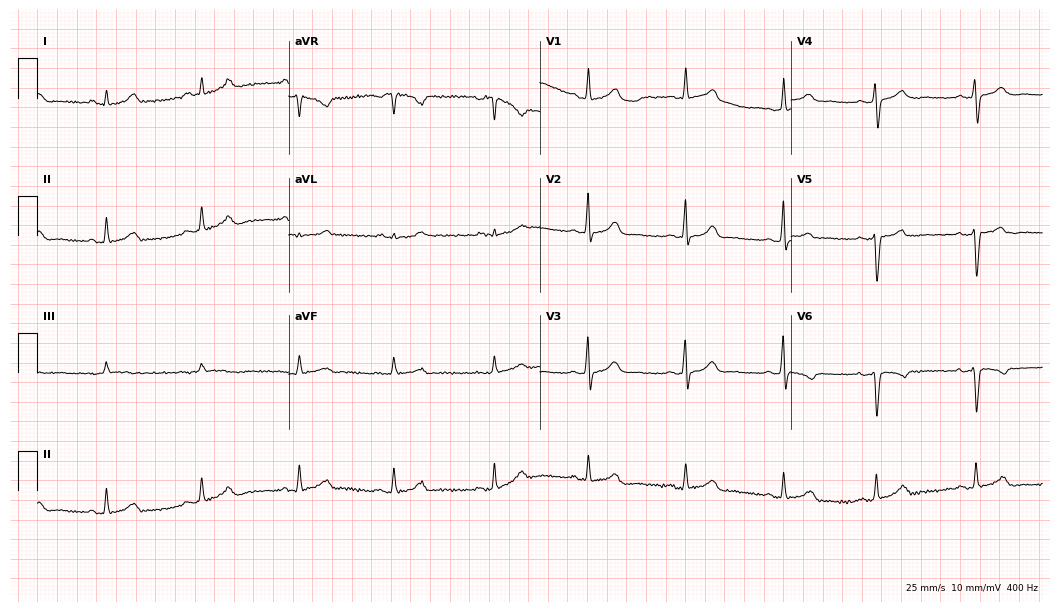
ECG — a female, 38 years old. Screened for six findings — first-degree AV block, right bundle branch block, left bundle branch block, sinus bradycardia, atrial fibrillation, sinus tachycardia — none is recorded. Findings outside these six are not listed.